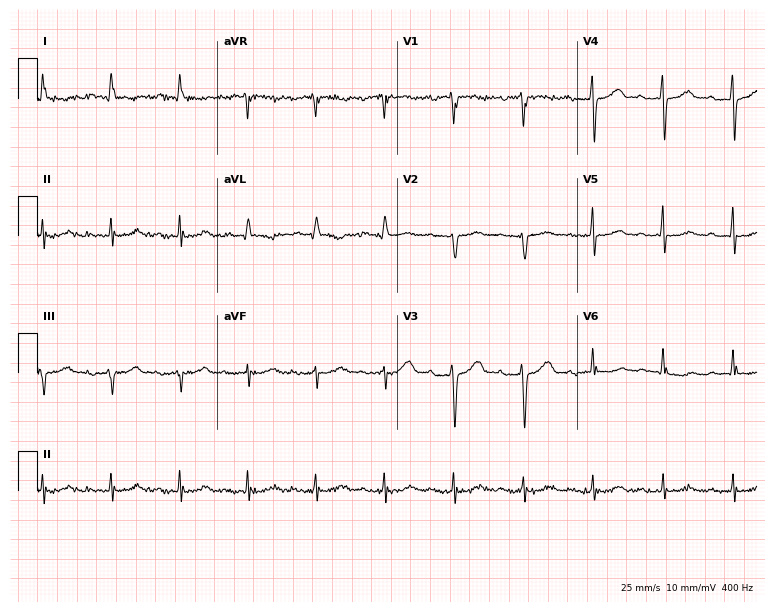
Resting 12-lead electrocardiogram. Patient: a man, 77 years old. The tracing shows first-degree AV block.